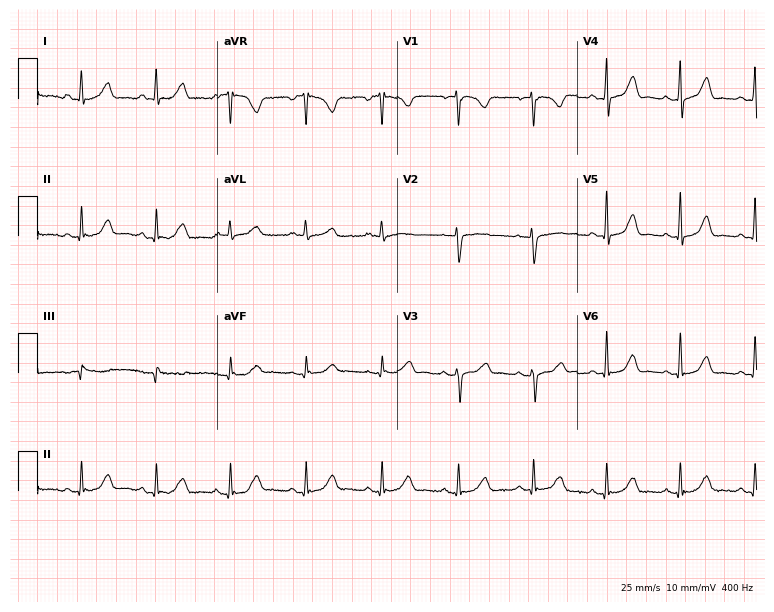
Standard 12-lead ECG recorded from a 43-year-old female patient (7.3-second recording at 400 Hz). Read as a normal ECG.